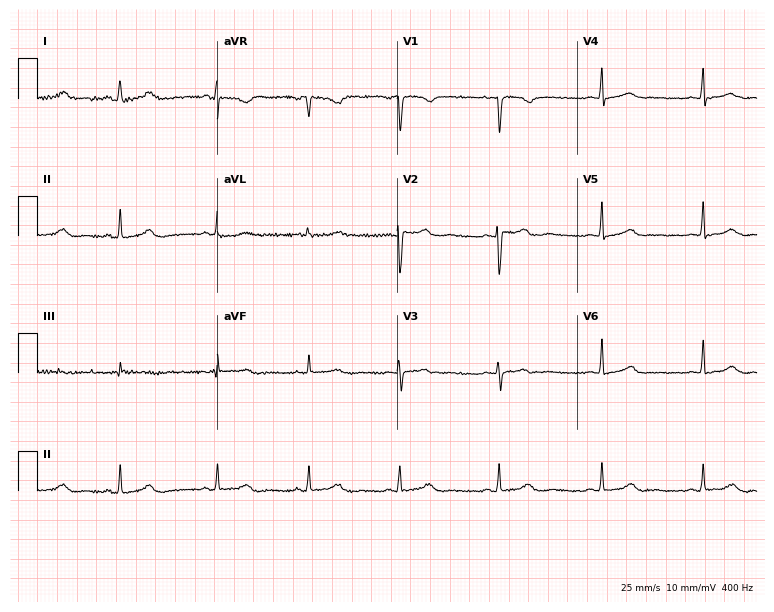
Standard 12-lead ECG recorded from a 20-year-old woman (7.3-second recording at 400 Hz). None of these six findings is recorded: first-degree AV block, right bundle branch block, left bundle branch block, sinus bradycardia, atrial fibrillation, sinus tachycardia.